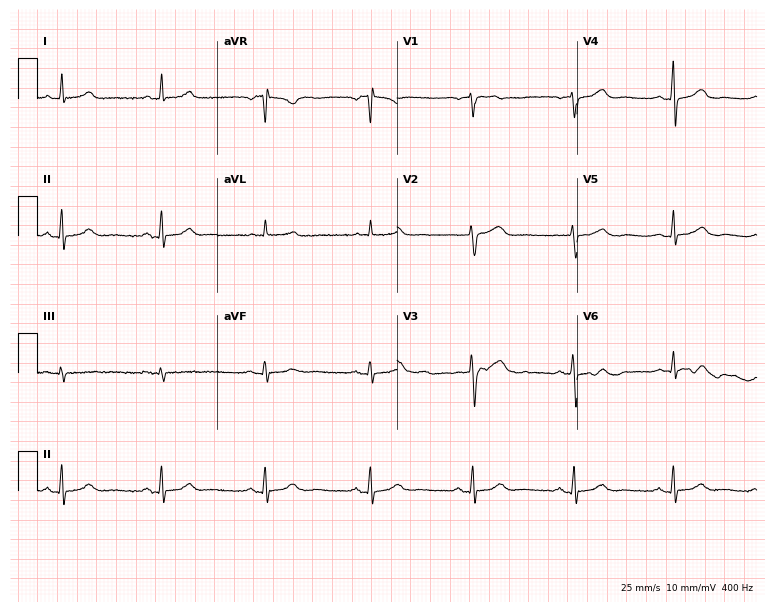
Electrocardiogram (7.3-second recording at 400 Hz), a female, 54 years old. Of the six screened findings (first-degree AV block, right bundle branch block (RBBB), left bundle branch block (LBBB), sinus bradycardia, atrial fibrillation (AF), sinus tachycardia), none is recorded.